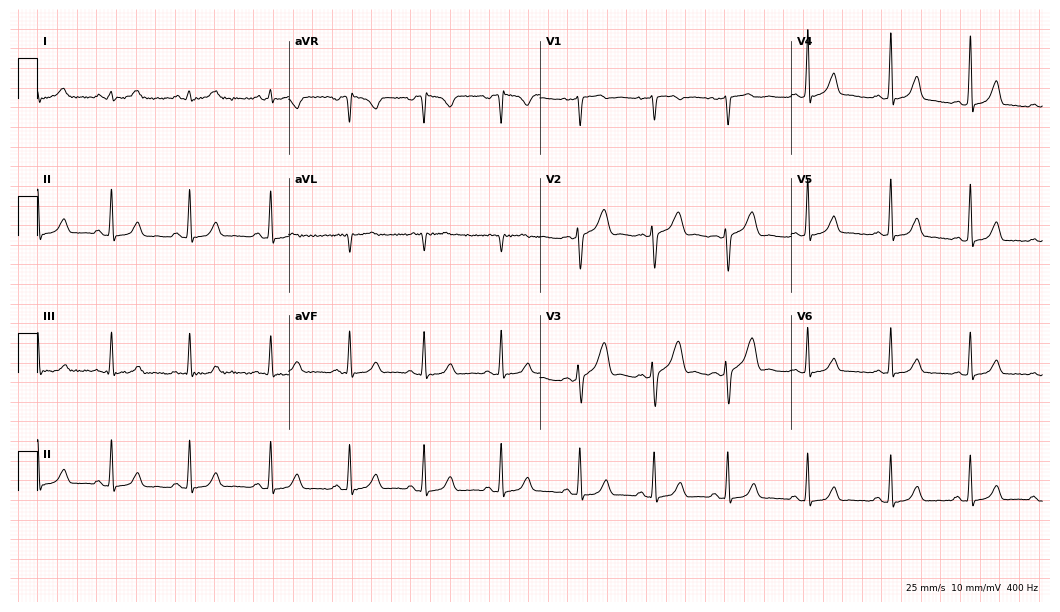
ECG (10.2-second recording at 400 Hz) — a 28-year-old female. Labelled as a normal ECG.